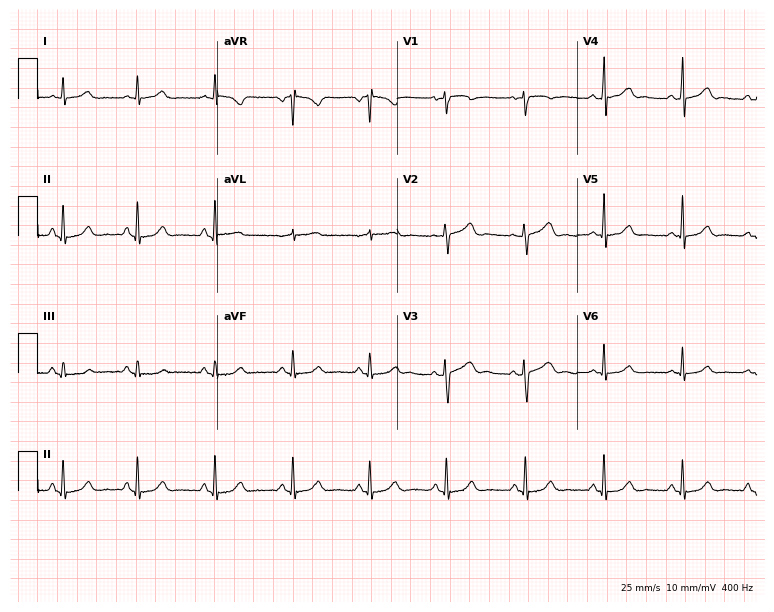
12-lead ECG from a woman, 54 years old. Labelled as a normal ECG.